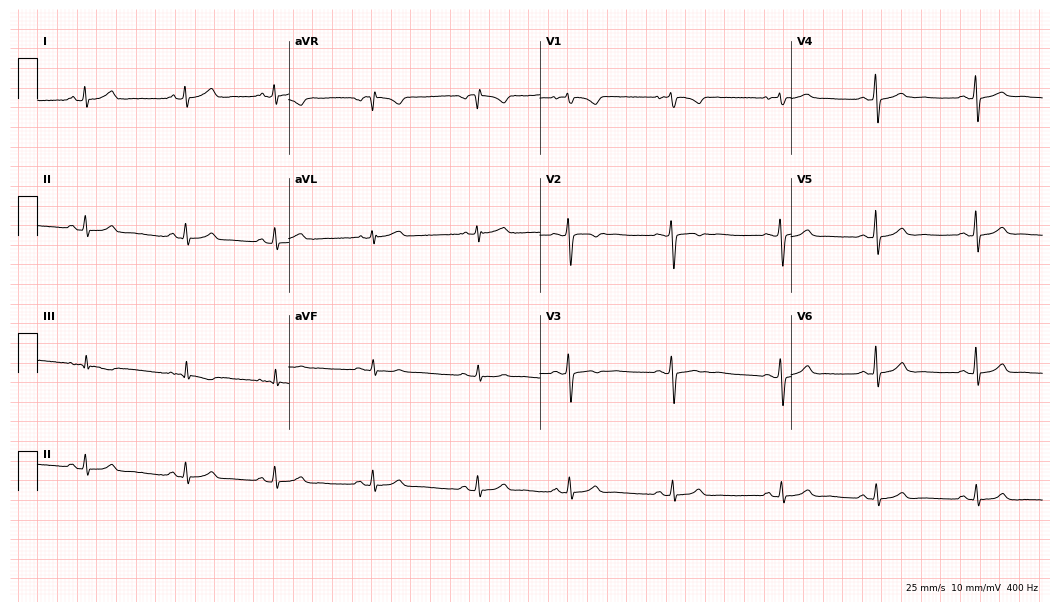
ECG — a woman, 29 years old. Labelled as a normal ECG.